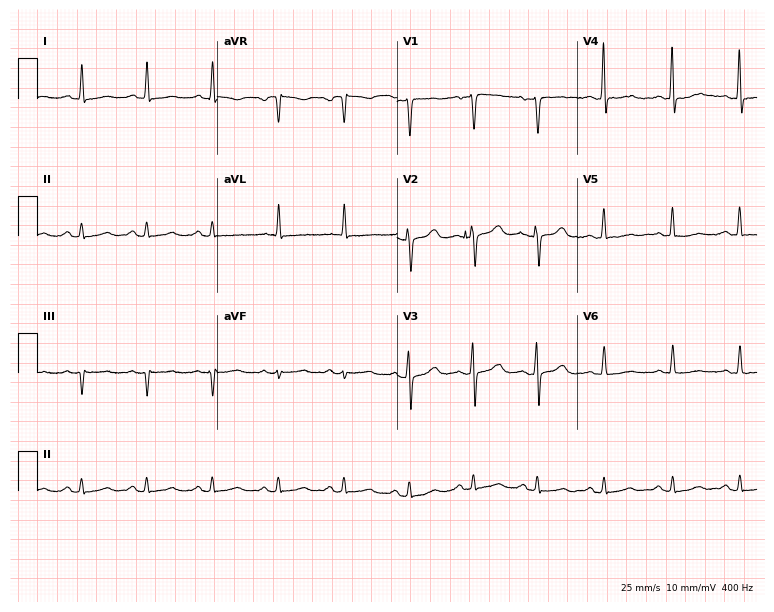
12-lead ECG (7.3-second recording at 400 Hz) from a woman, 29 years old. Labelled as a normal ECG.